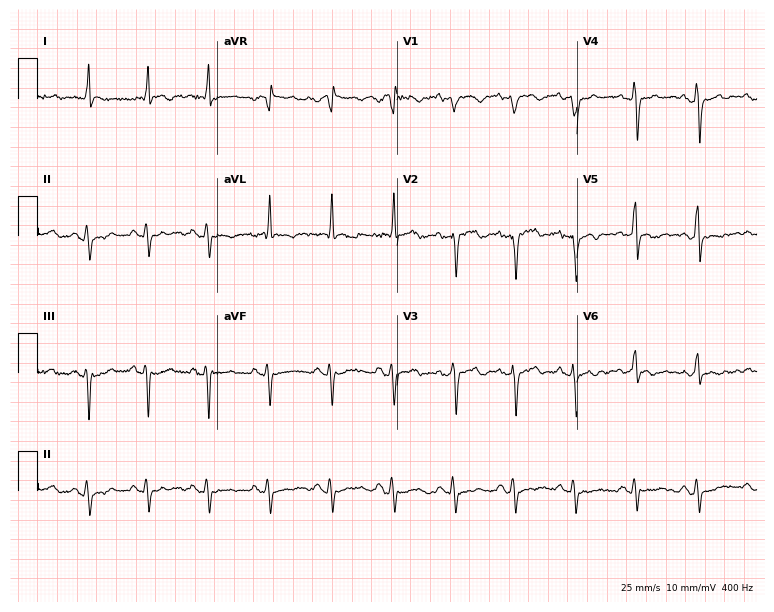
12-lead ECG from a man, 63 years old. No first-degree AV block, right bundle branch block (RBBB), left bundle branch block (LBBB), sinus bradycardia, atrial fibrillation (AF) or sinus tachycardia recorded for this tracing. Other findings, if any, are not listed.